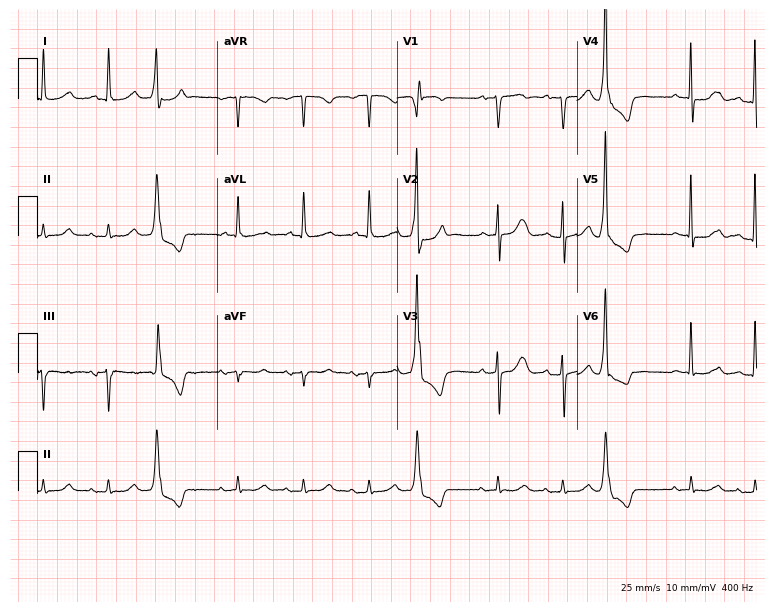
Electrocardiogram, a 74-year-old female. Of the six screened findings (first-degree AV block, right bundle branch block (RBBB), left bundle branch block (LBBB), sinus bradycardia, atrial fibrillation (AF), sinus tachycardia), none is recorded. Other findings, if any, are not listed.